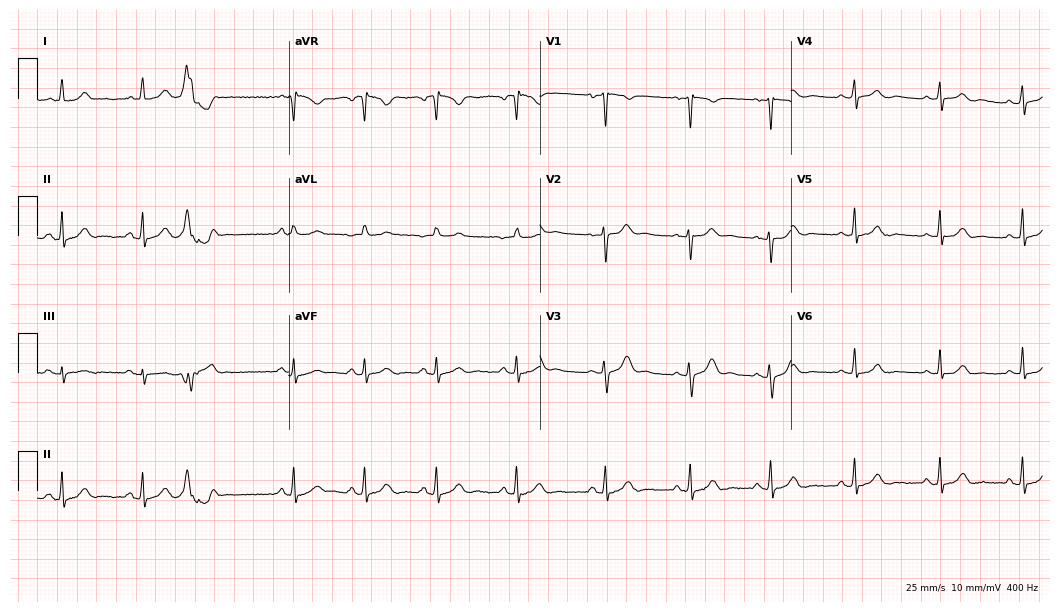
Electrocardiogram (10.2-second recording at 400 Hz), a female, 22 years old. Overall reading on record: normal ECG.